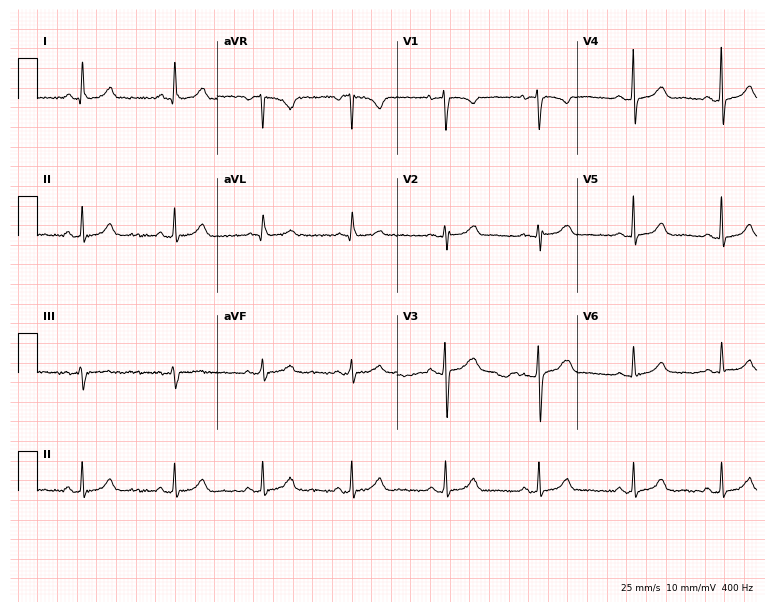
ECG — a female patient, 44 years old. Screened for six findings — first-degree AV block, right bundle branch block, left bundle branch block, sinus bradycardia, atrial fibrillation, sinus tachycardia — none is recorded. Only these six findings were labelled.